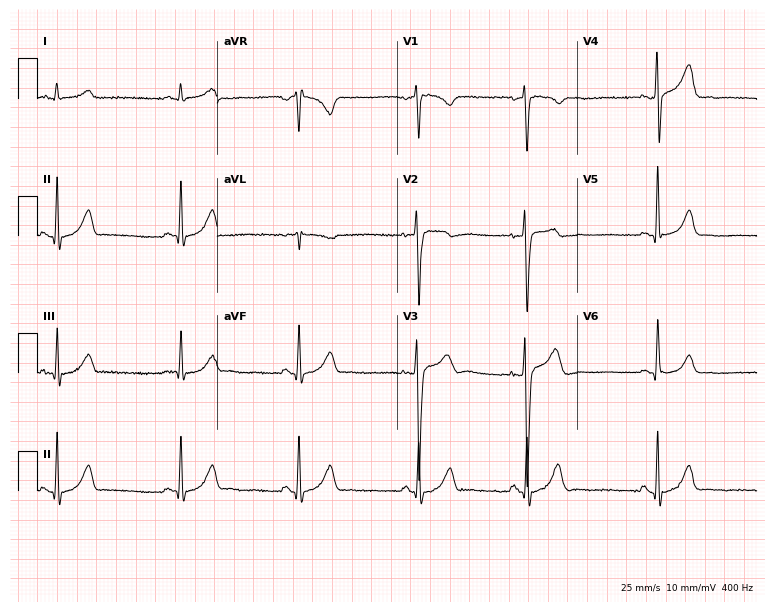
ECG (7.3-second recording at 400 Hz) — a man, 37 years old. Labelled as a normal ECG.